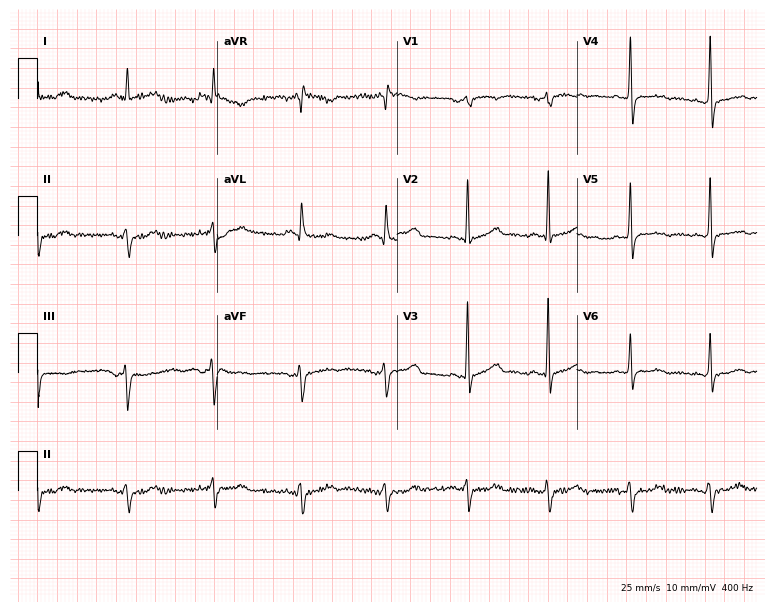
12-lead ECG from a 74-year-old male patient (7.3-second recording at 400 Hz). No first-degree AV block, right bundle branch block (RBBB), left bundle branch block (LBBB), sinus bradycardia, atrial fibrillation (AF) or sinus tachycardia recorded for this tracing. Other findings, if any, are not listed.